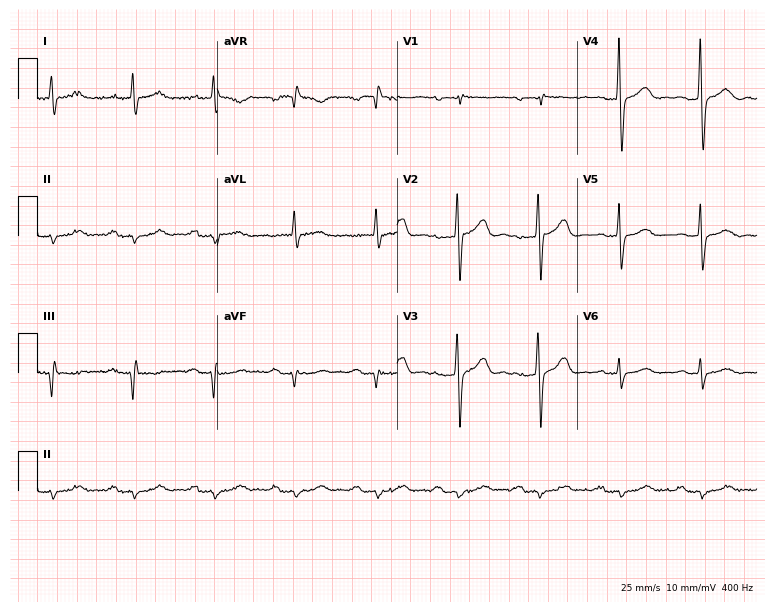
ECG — a man, 69 years old. Screened for six findings — first-degree AV block, right bundle branch block, left bundle branch block, sinus bradycardia, atrial fibrillation, sinus tachycardia — none is recorded. Findings outside these six are not listed.